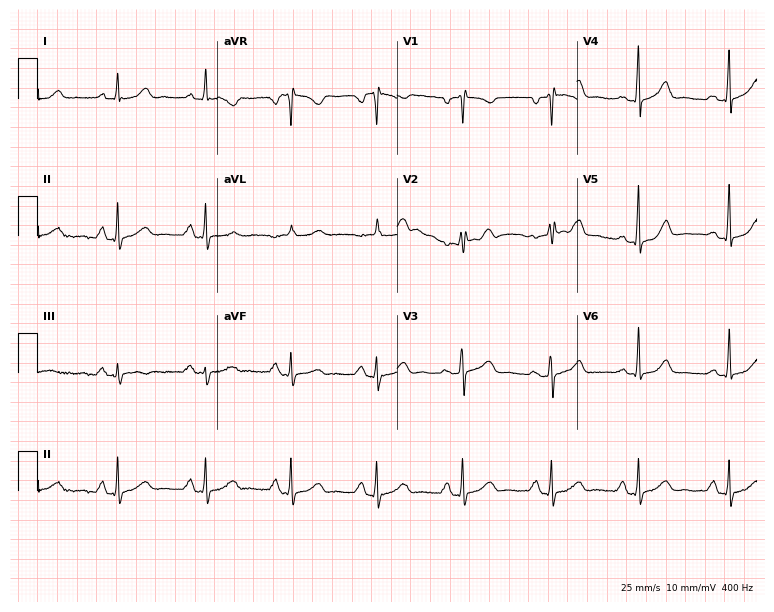
Resting 12-lead electrocardiogram. Patient: a 49-year-old female. Read as a normal ECG.